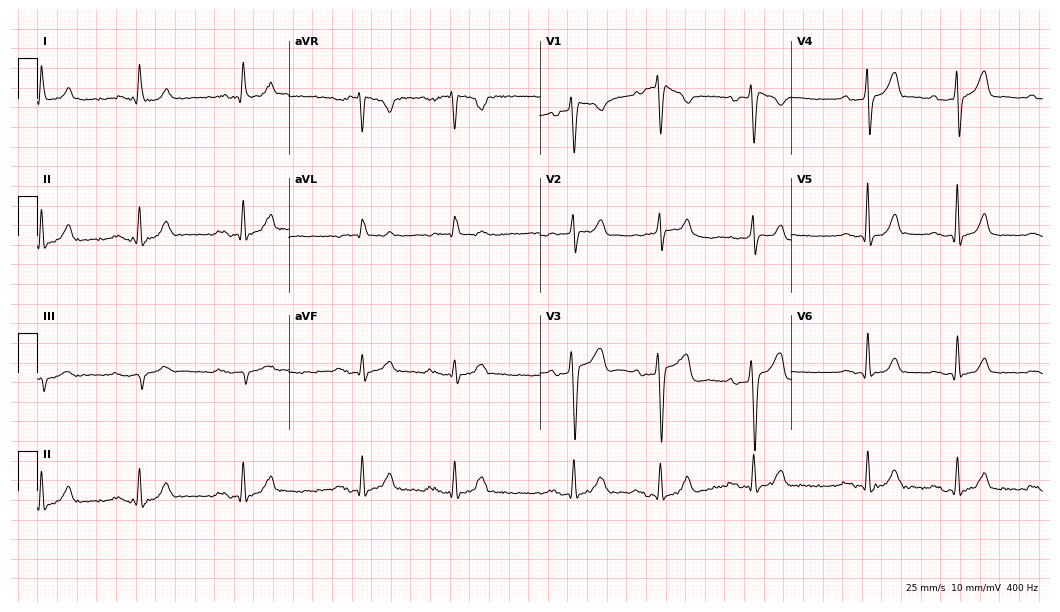
Electrocardiogram (10.2-second recording at 400 Hz), an 83-year-old woman. Interpretation includes first-degree AV block.